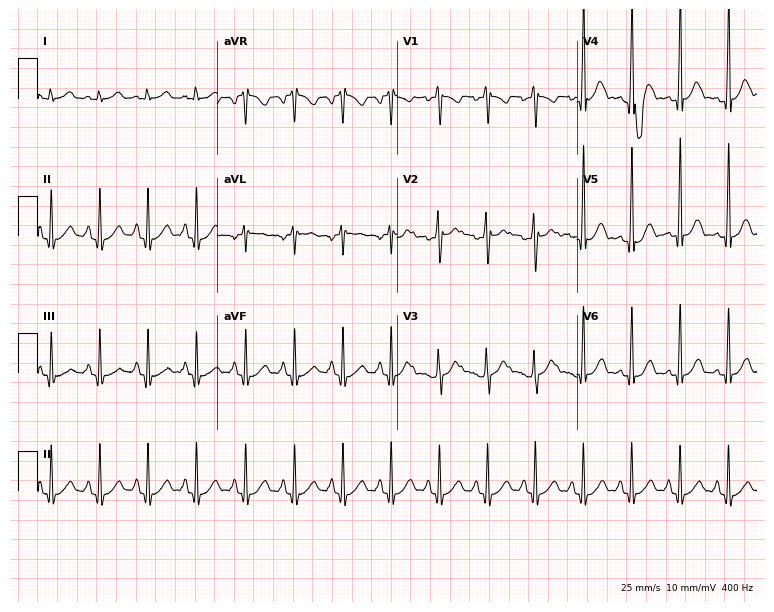
Electrocardiogram, a 17-year-old female. Interpretation includes sinus tachycardia (a sinus rate of 100 beats per minute or more).